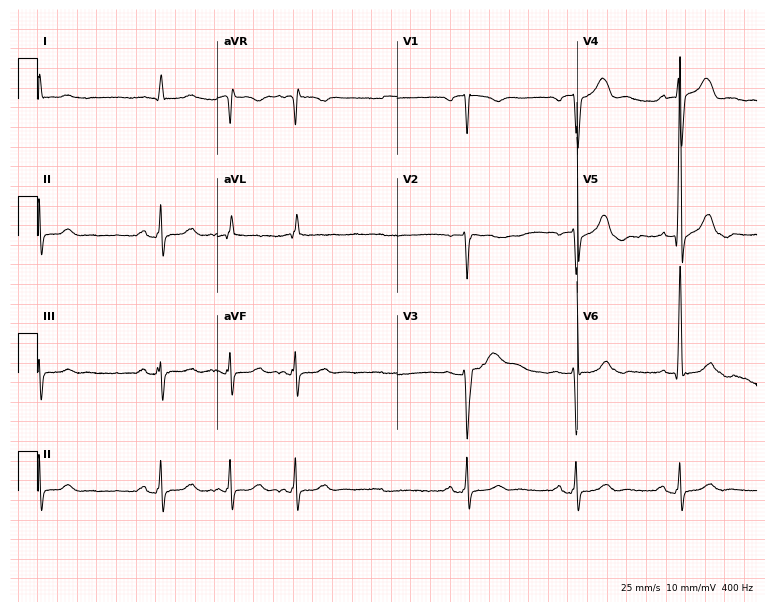
Resting 12-lead electrocardiogram (7.3-second recording at 400 Hz). Patient: a male, 81 years old. None of these six findings is recorded: first-degree AV block, right bundle branch block (RBBB), left bundle branch block (LBBB), sinus bradycardia, atrial fibrillation (AF), sinus tachycardia.